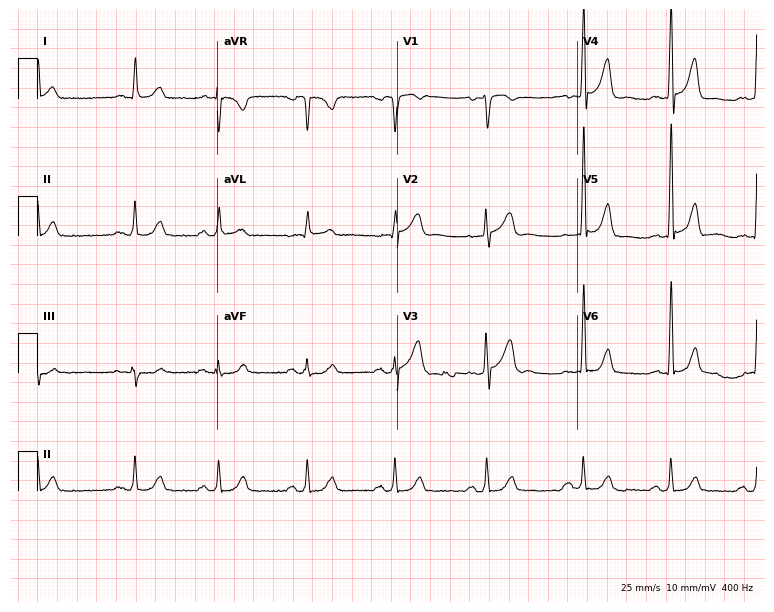
12-lead ECG from a 63-year-old male (7.3-second recording at 400 Hz). Recorded interpretation: within normal limits.